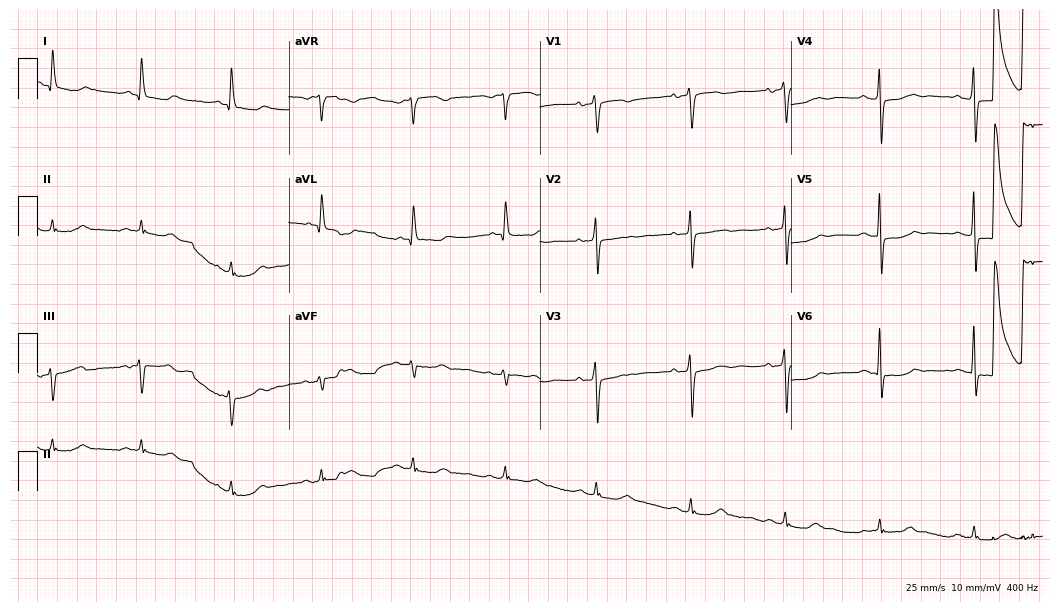
Electrocardiogram (10.2-second recording at 400 Hz), an 82-year-old female patient. Of the six screened findings (first-degree AV block, right bundle branch block, left bundle branch block, sinus bradycardia, atrial fibrillation, sinus tachycardia), none is recorded.